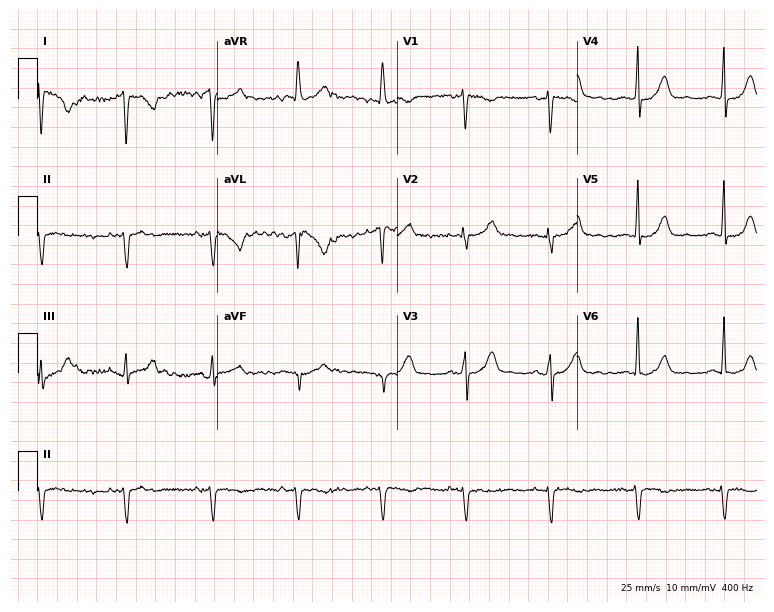
12-lead ECG from a 52-year-old female patient (7.3-second recording at 400 Hz). No first-degree AV block, right bundle branch block (RBBB), left bundle branch block (LBBB), sinus bradycardia, atrial fibrillation (AF) or sinus tachycardia recorded for this tracing. Findings outside these six are not listed.